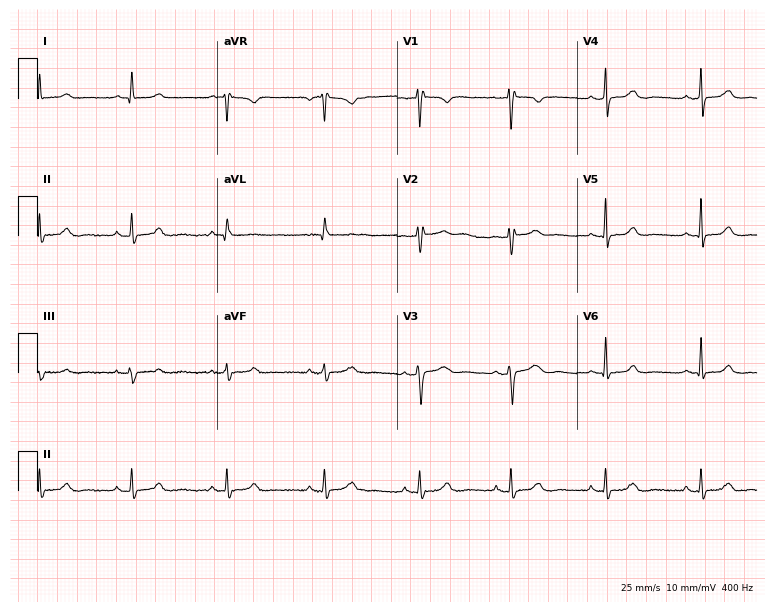
12-lead ECG (7.3-second recording at 400 Hz) from a female, 46 years old. Screened for six findings — first-degree AV block, right bundle branch block, left bundle branch block, sinus bradycardia, atrial fibrillation, sinus tachycardia — none is recorded.